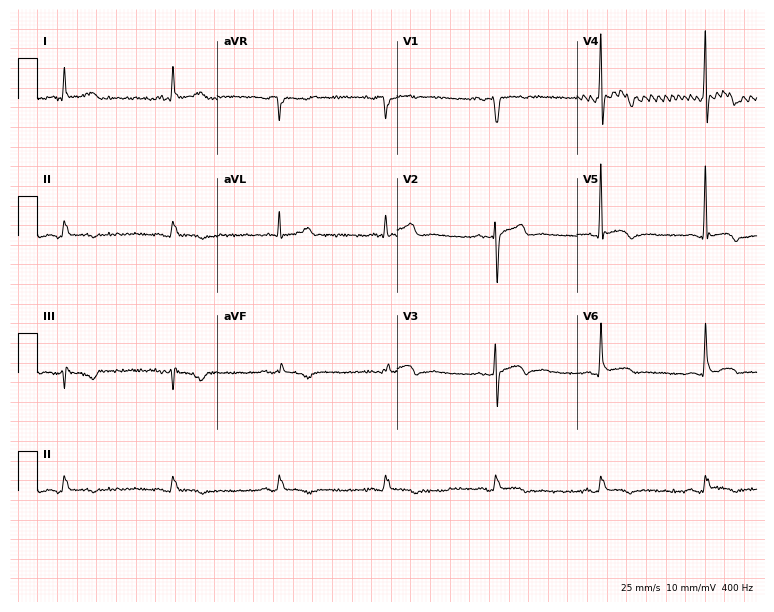
Electrocardiogram (7.3-second recording at 400 Hz), a man, 50 years old. Of the six screened findings (first-degree AV block, right bundle branch block, left bundle branch block, sinus bradycardia, atrial fibrillation, sinus tachycardia), none is recorded. Findings outside these six are not listed.